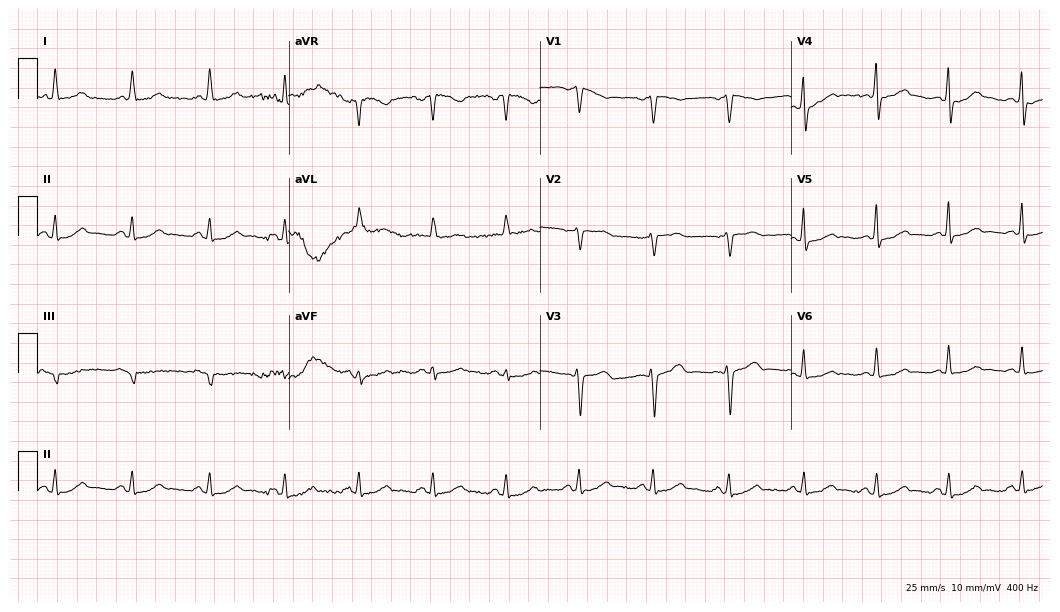
ECG — a woman, 43 years old. Labelled as a normal ECG.